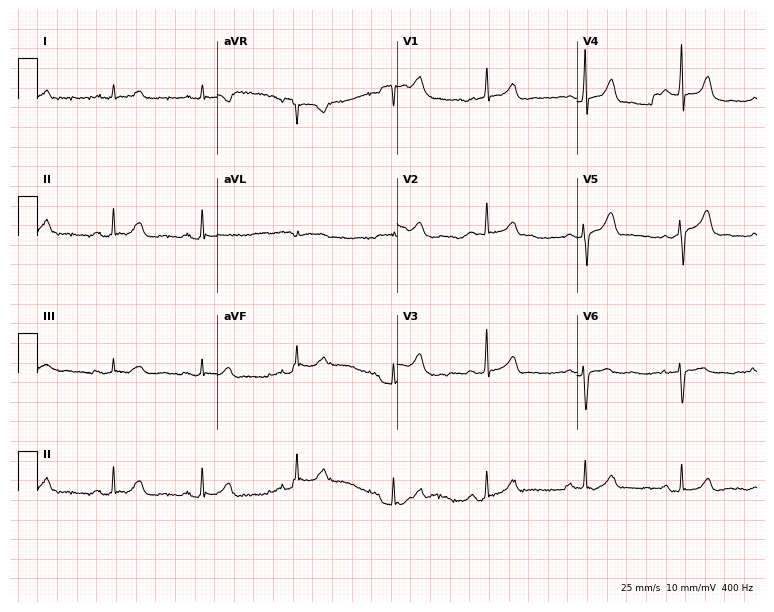
Standard 12-lead ECG recorded from a 38-year-old female (7.3-second recording at 400 Hz). None of these six findings is recorded: first-degree AV block, right bundle branch block, left bundle branch block, sinus bradycardia, atrial fibrillation, sinus tachycardia.